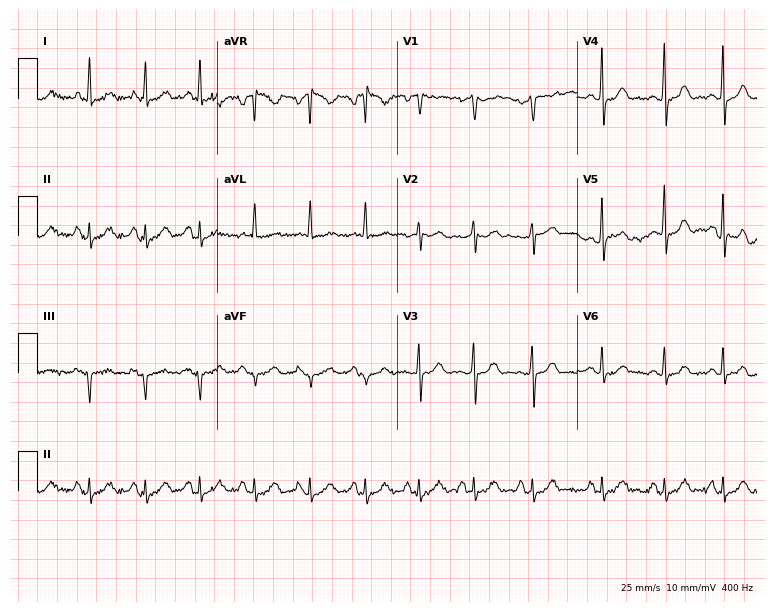
12-lead ECG from a female, 47 years old. Findings include sinus tachycardia (a sinus rate of 100 beats per minute or more).